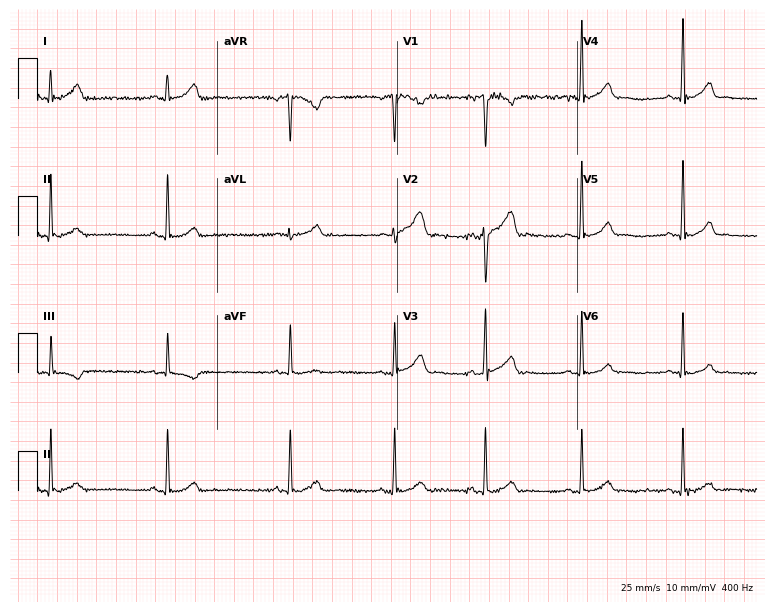
ECG (7.3-second recording at 400 Hz) — a male patient, 27 years old. Labelled as a normal ECG.